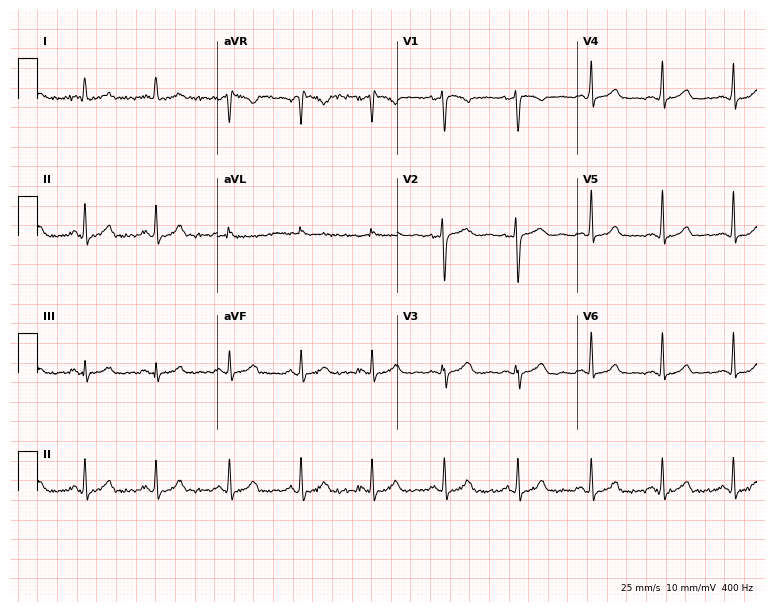
Electrocardiogram (7.3-second recording at 400 Hz), a woman, 36 years old. Of the six screened findings (first-degree AV block, right bundle branch block, left bundle branch block, sinus bradycardia, atrial fibrillation, sinus tachycardia), none is recorded.